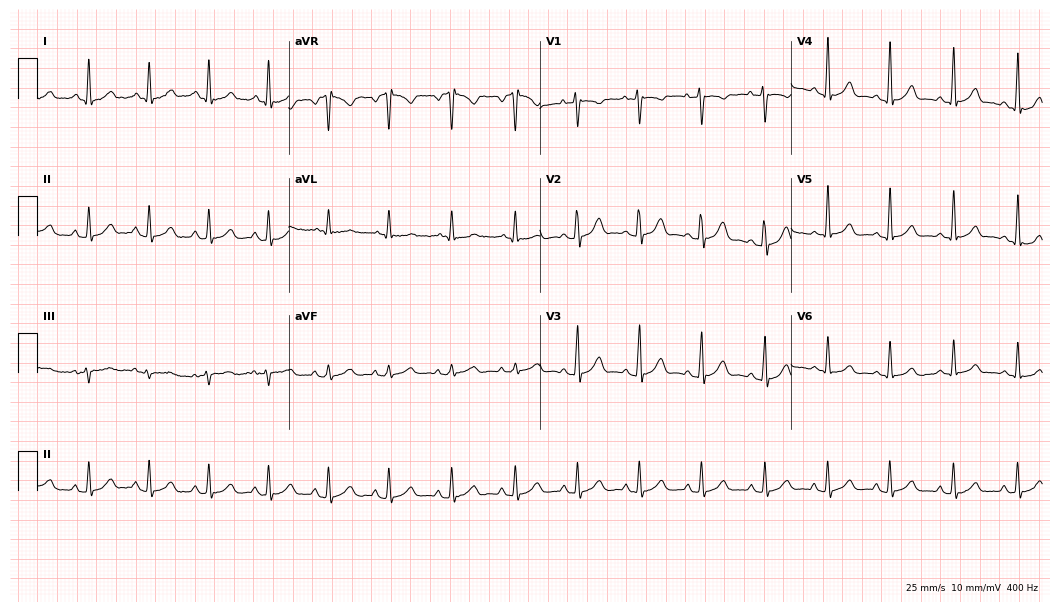
Resting 12-lead electrocardiogram. Patient: a female, 25 years old. None of these six findings is recorded: first-degree AV block, right bundle branch block (RBBB), left bundle branch block (LBBB), sinus bradycardia, atrial fibrillation (AF), sinus tachycardia.